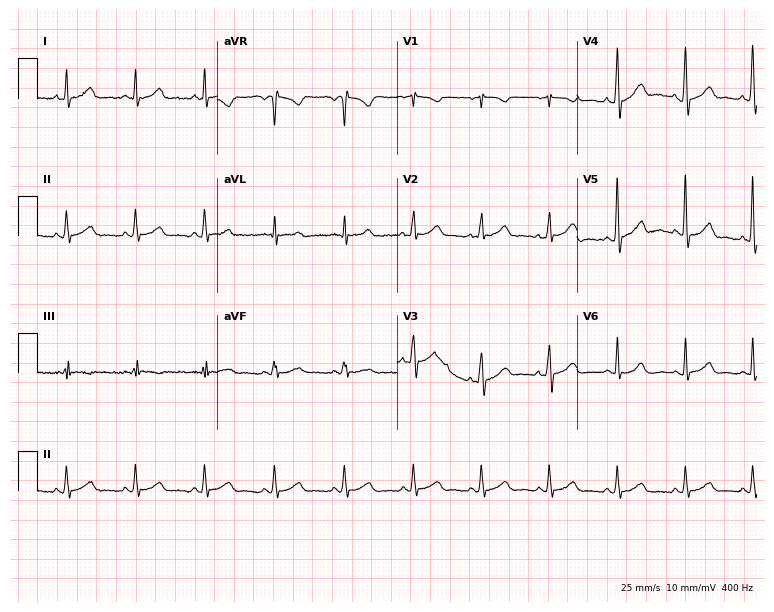
12-lead ECG (7.3-second recording at 400 Hz) from a male, 61 years old. Labelled as a normal ECG.